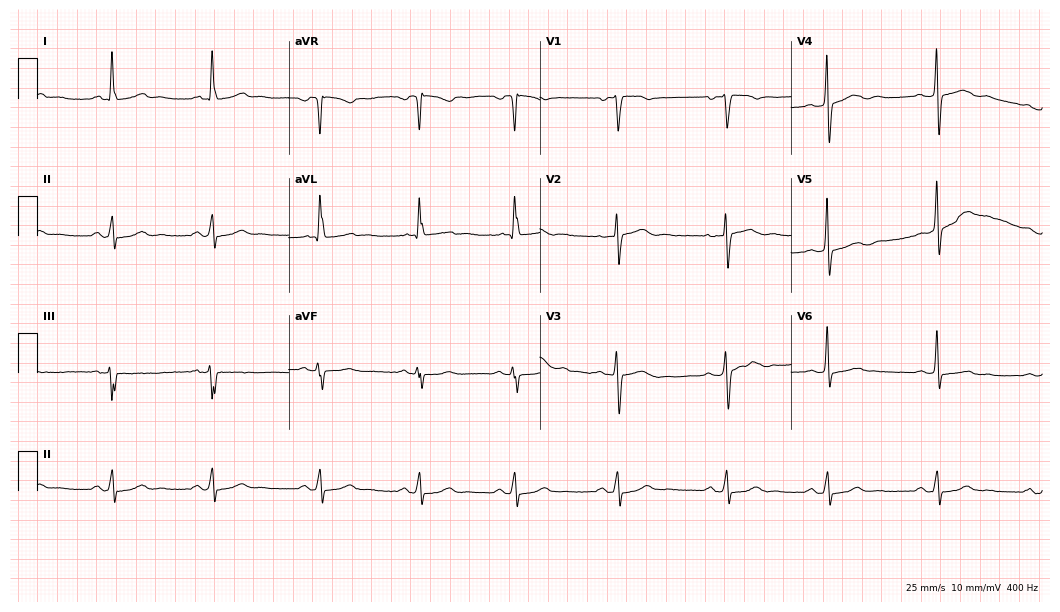
12-lead ECG from a female, 35 years old. No first-degree AV block, right bundle branch block, left bundle branch block, sinus bradycardia, atrial fibrillation or sinus tachycardia recorded for this tracing. Only these six findings were labelled.